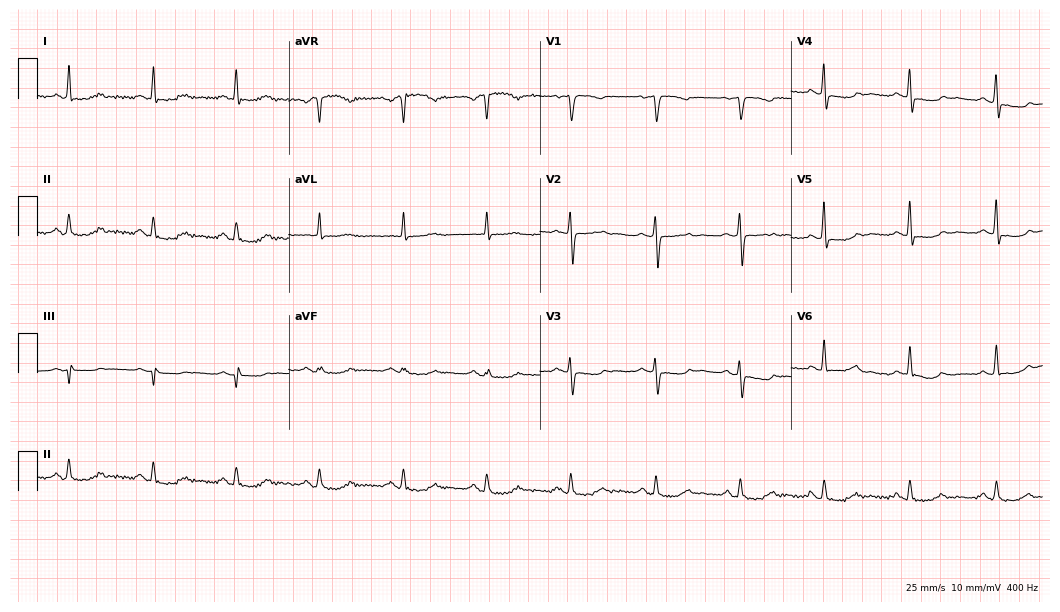
ECG (10.2-second recording at 400 Hz) — a female patient, 63 years old. Screened for six findings — first-degree AV block, right bundle branch block, left bundle branch block, sinus bradycardia, atrial fibrillation, sinus tachycardia — none is recorded.